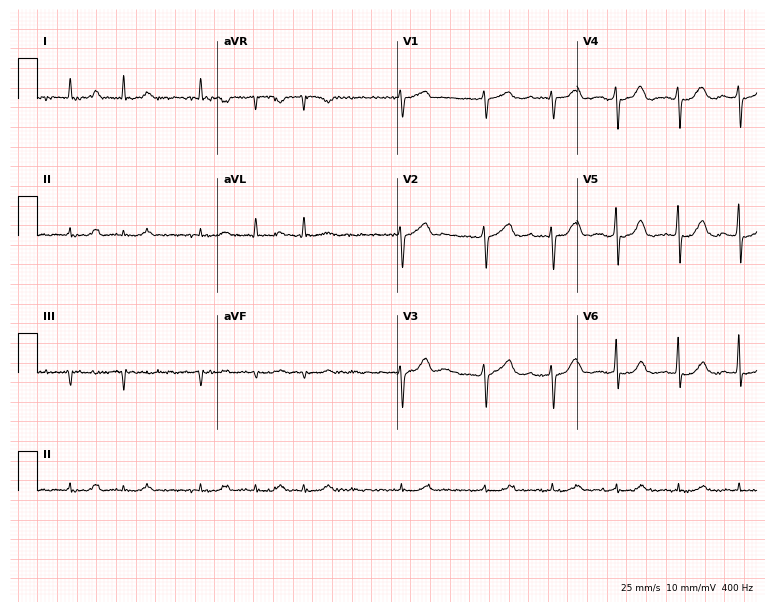
Resting 12-lead electrocardiogram (7.3-second recording at 400 Hz). Patient: a 73-year-old male. The tracing shows atrial fibrillation.